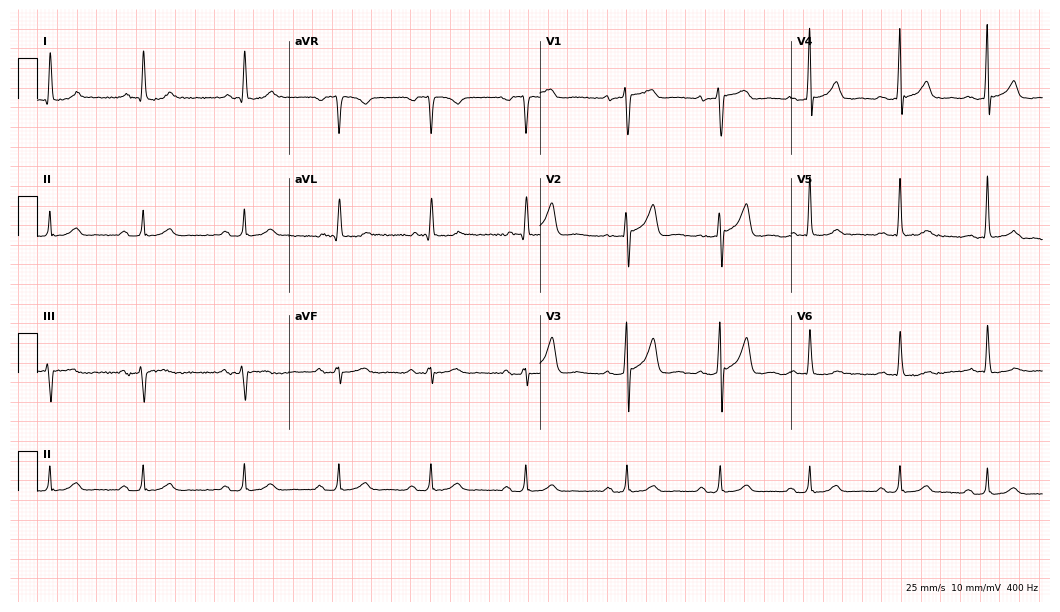
Electrocardiogram, a male, 59 years old. Overall reading on record: normal ECG.